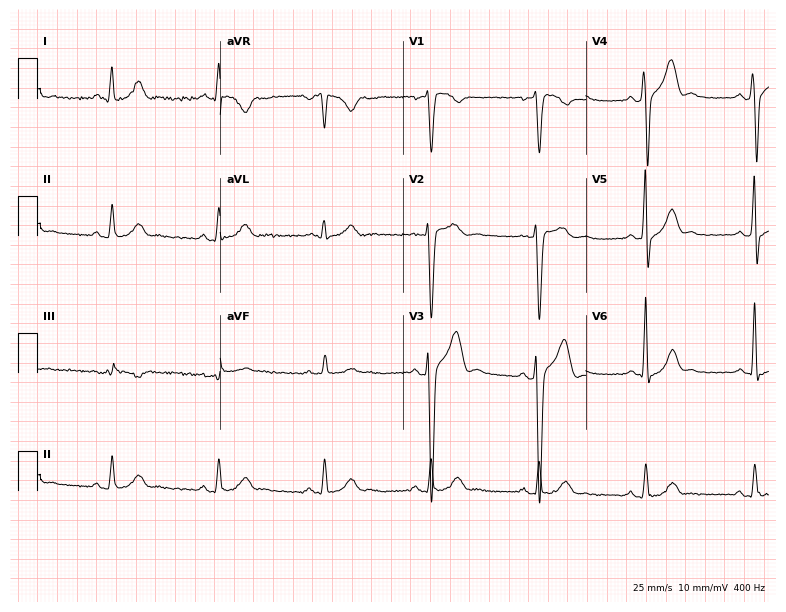
12-lead ECG (7.5-second recording at 400 Hz) from a 38-year-old male patient. Screened for six findings — first-degree AV block, right bundle branch block, left bundle branch block, sinus bradycardia, atrial fibrillation, sinus tachycardia — none is recorded.